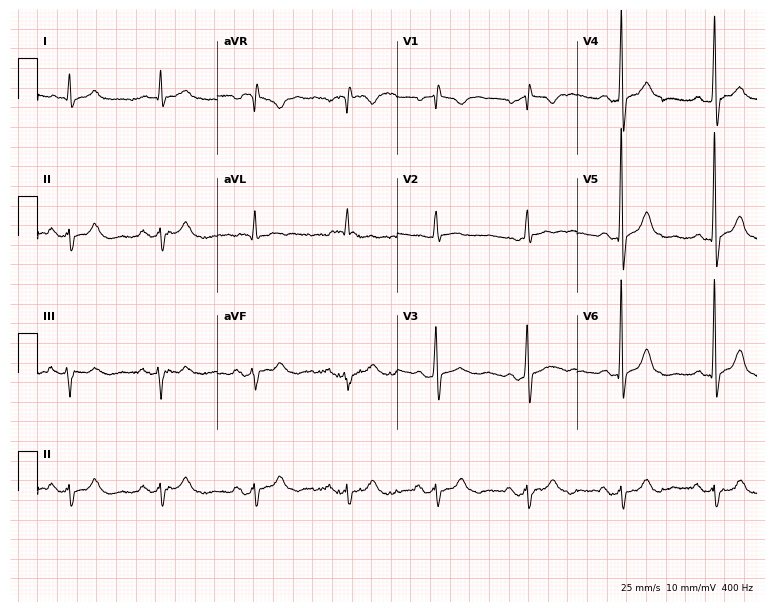
Electrocardiogram (7.3-second recording at 400 Hz), a 71-year-old female. Of the six screened findings (first-degree AV block, right bundle branch block, left bundle branch block, sinus bradycardia, atrial fibrillation, sinus tachycardia), none is recorded. Other findings, if any, are not listed.